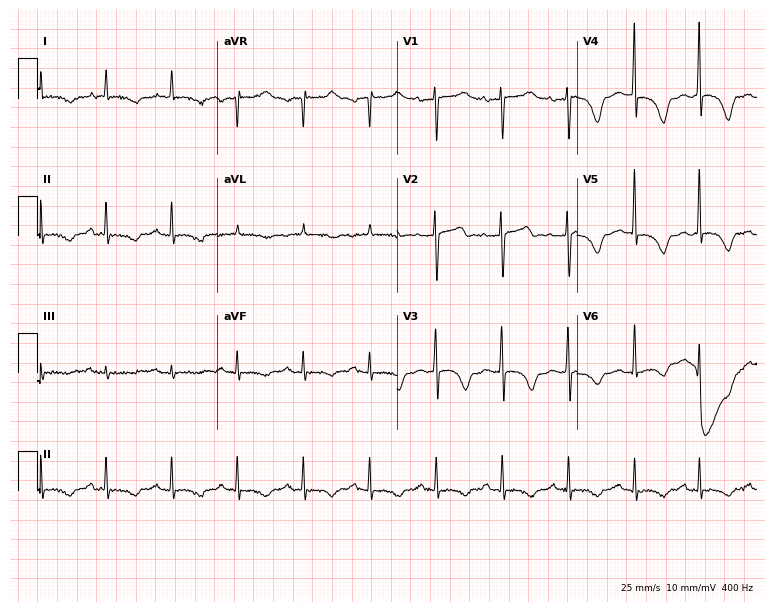
12-lead ECG from a female, 57 years old. No first-degree AV block, right bundle branch block, left bundle branch block, sinus bradycardia, atrial fibrillation or sinus tachycardia recorded for this tracing.